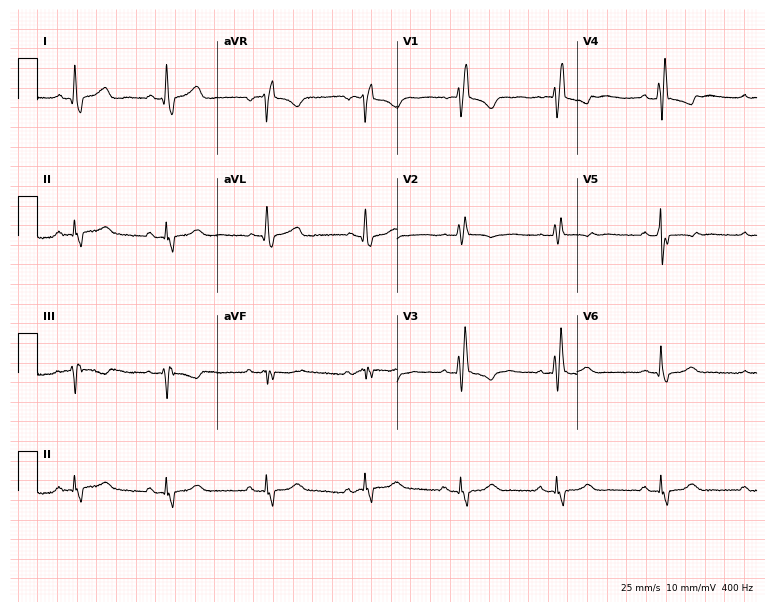
ECG — a woman, 37 years old. Findings include right bundle branch block (RBBB).